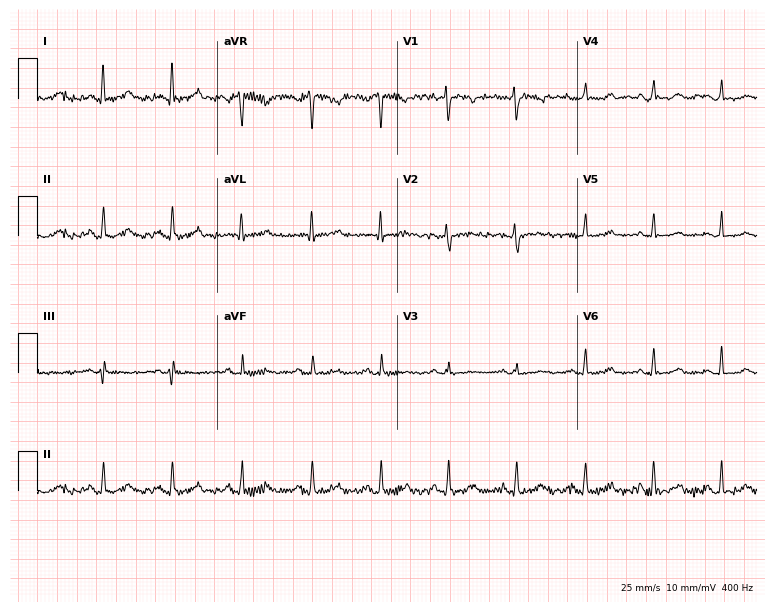
12-lead ECG (7.3-second recording at 400 Hz) from a 46-year-old female. Labelled as a normal ECG.